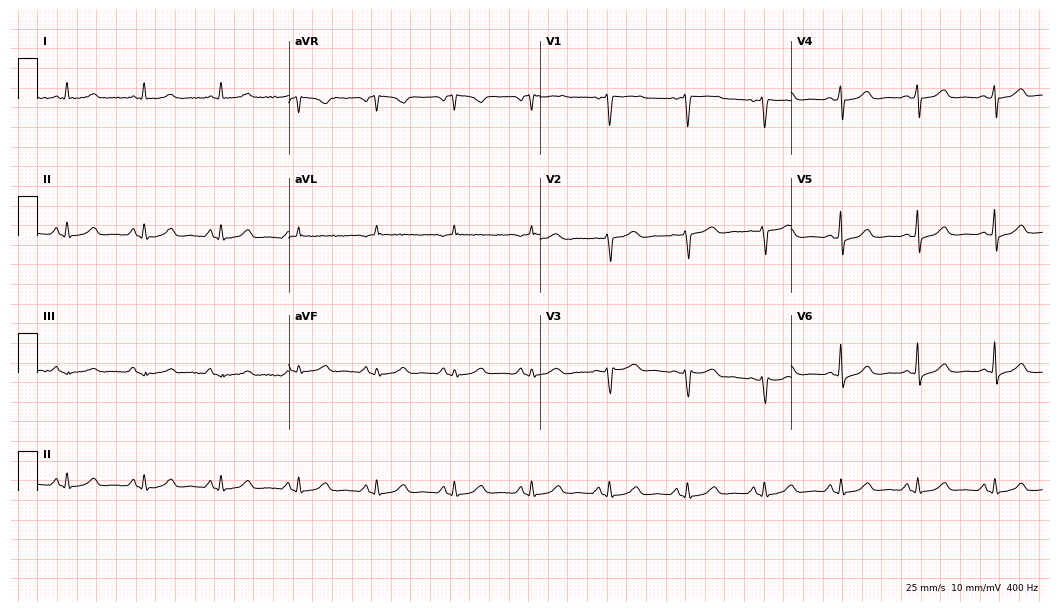
Electrocardiogram (10.2-second recording at 400 Hz), a woman, 50 years old. Of the six screened findings (first-degree AV block, right bundle branch block, left bundle branch block, sinus bradycardia, atrial fibrillation, sinus tachycardia), none is recorded.